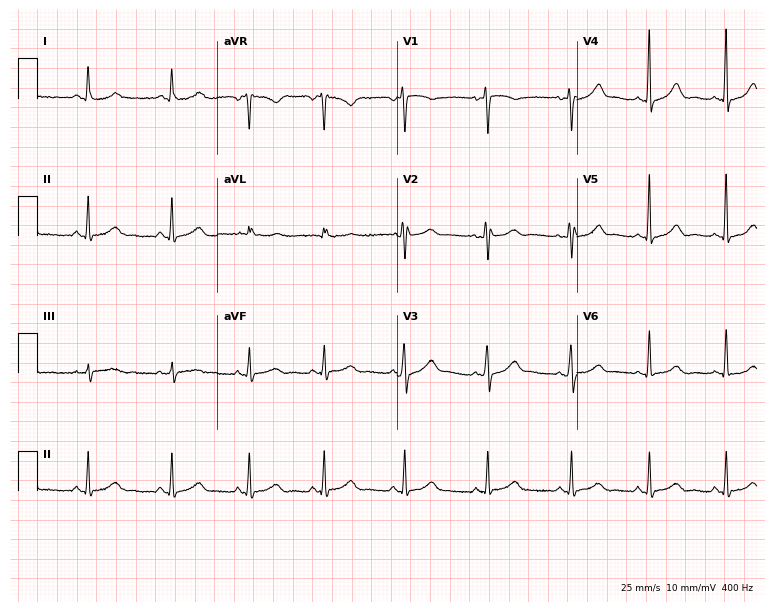
Resting 12-lead electrocardiogram (7.3-second recording at 400 Hz). Patient: a woman, 34 years old. None of these six findings is recorded: first-degree AV block, right bundle branch block, left bundle branch block, sinus bradycardia, atrial fibrillation, sinus tachycardia. Only these six findings were labelled.